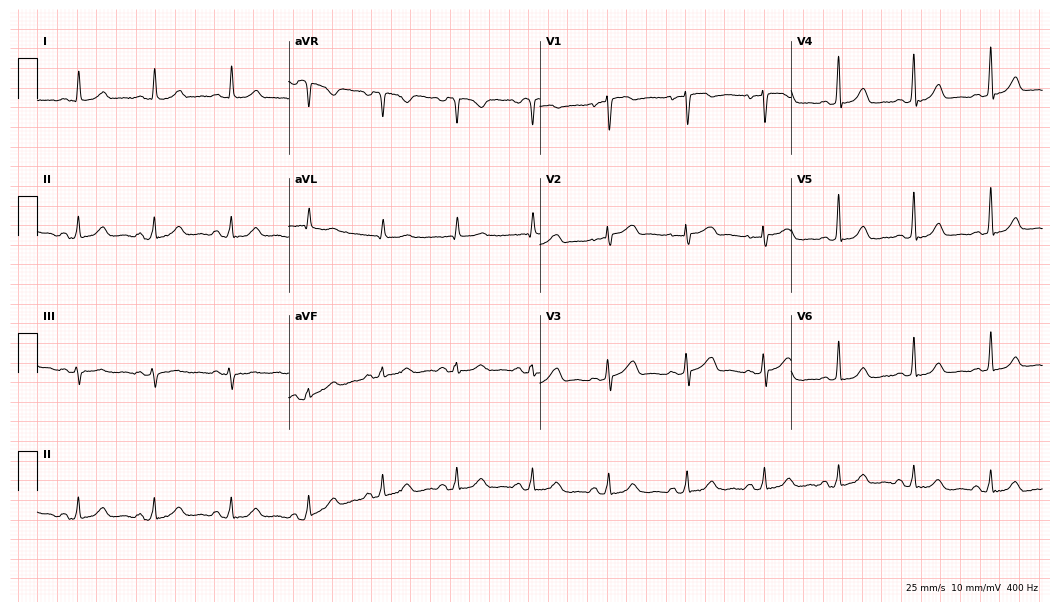
ECG — a 53-year-old female patient. Screened for six findings — first-degree AV block, right bundle branch block, left bundle branch block, sinus bradycardia, atrial fibrillation, sinus tachycardia — none is recorded. Findings outside these six are not listed.